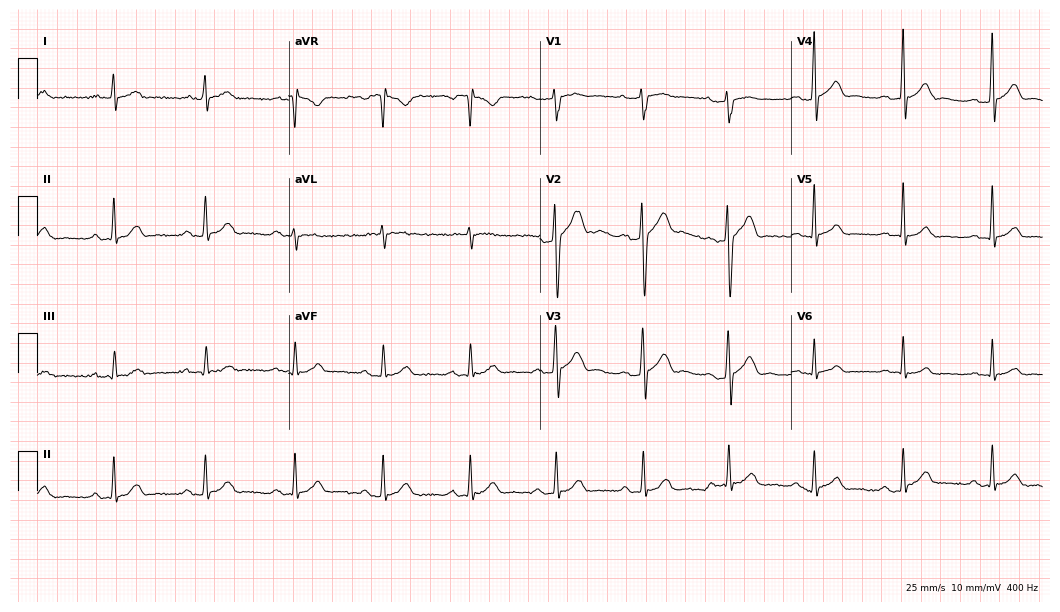
Standard 12-lead ECG recorded from a 26-year-old male patient. Read as a normal ECG.